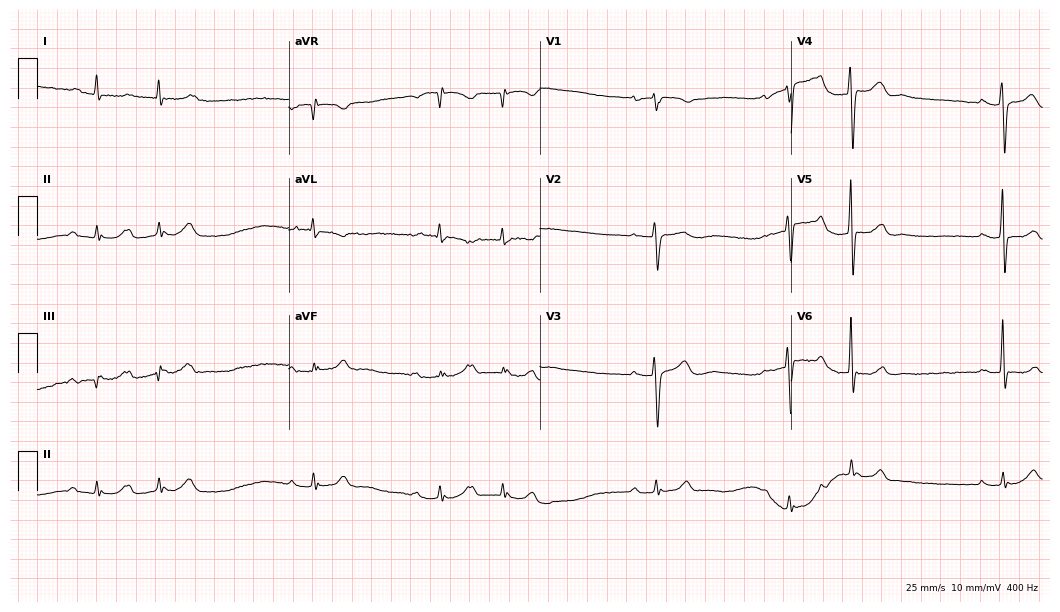
ECG — a man, 71 years old. Findings include first-degree AV block.